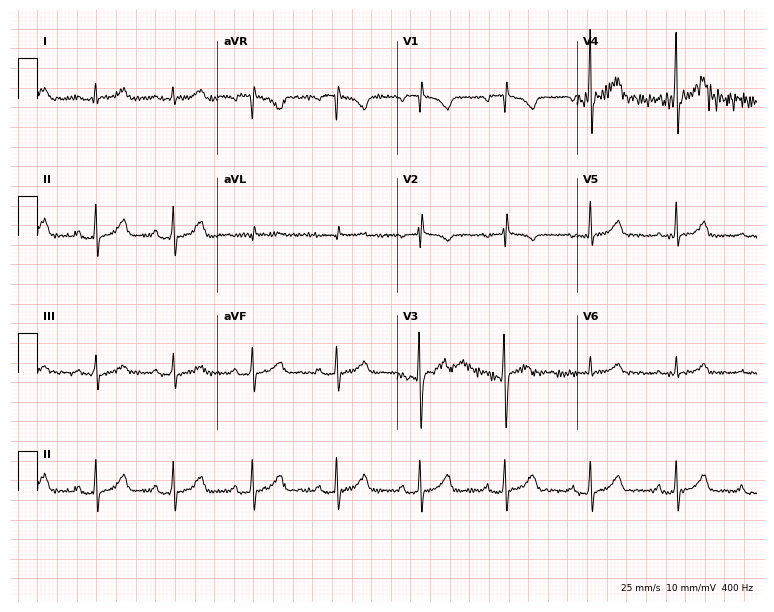
12-lead ECG from a 17-year-old male patient. Screened for six findings — first-degree AV block, right bundle branch block, left bundle branch block, sinus bradycardia, atrial fibrillation, sinus tachycardia — none is recorded.